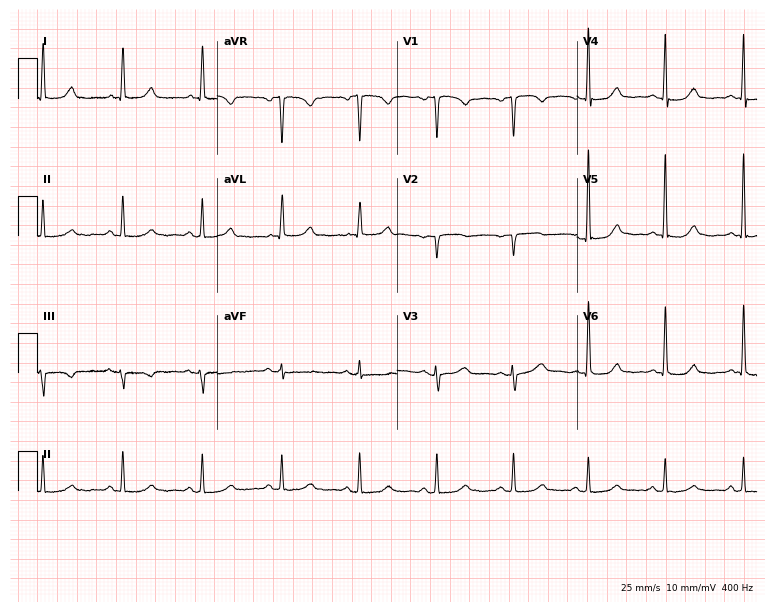
ECG (7.3-second recording at 400 Hz) — a 61-year-old female. Screened for six findings — first-degree AV block, right bundle branch block, left bundle branch block, sinus bradycardia, atrial fibrillation, sinus tachycardia — none is recorded.